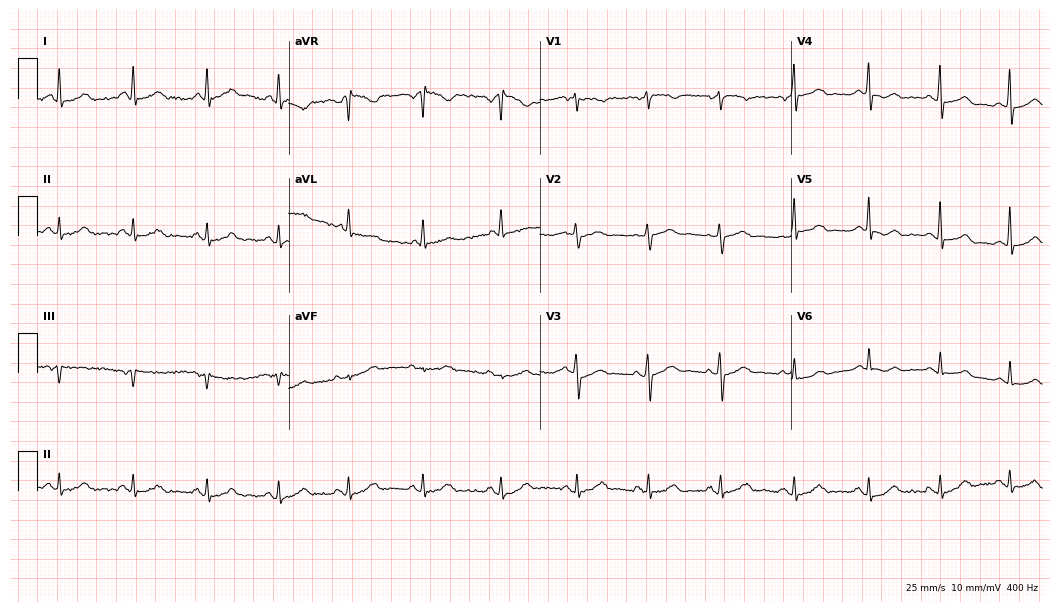
Electrocardiogram, a 45-year-old female. Of the six screened findings (first-degree AV block, right bundle branch block, left bundle branch block, sinus bradycardia, atrial fibrillation, sinus tachycardia), none is recorded.